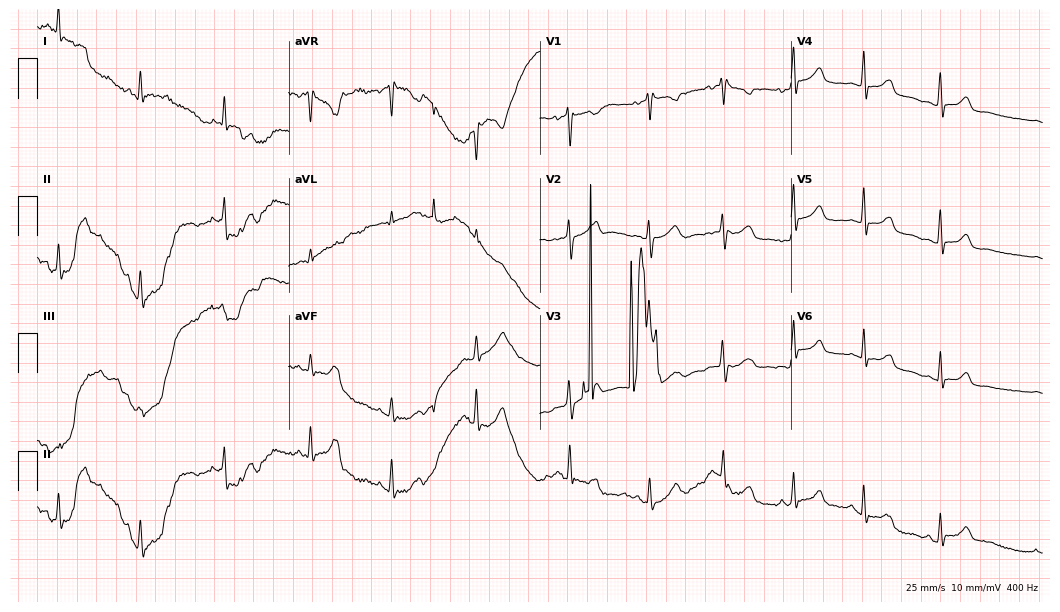
12-lead ECG from a 23-year-old female patient. Screened for six findings — first-degree AV block, right bundle branch block, left bundle branch block, sinus bradycardia, atrial fibrillation, sinus tachycardia — none is recorded. Only these six findings were labelled.